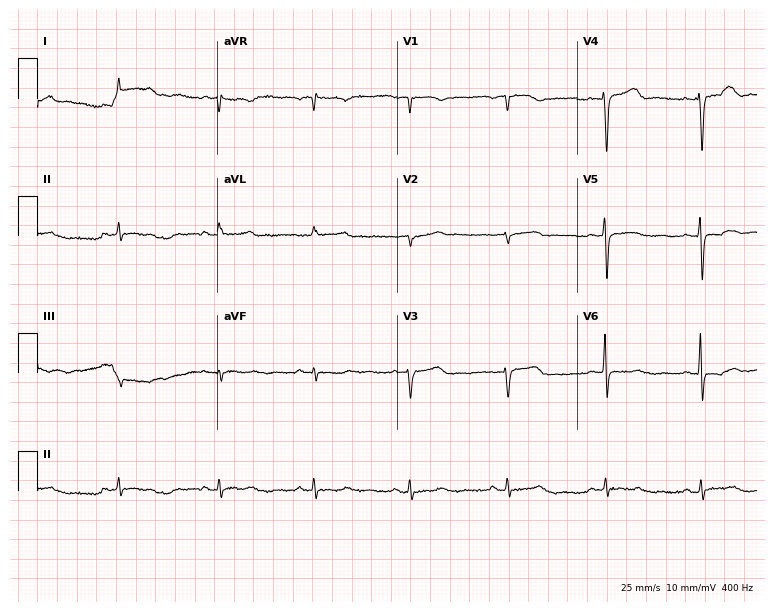
Standard 12-lead ECG recorded from a 70-year-old woman. Read as a normal ECG.